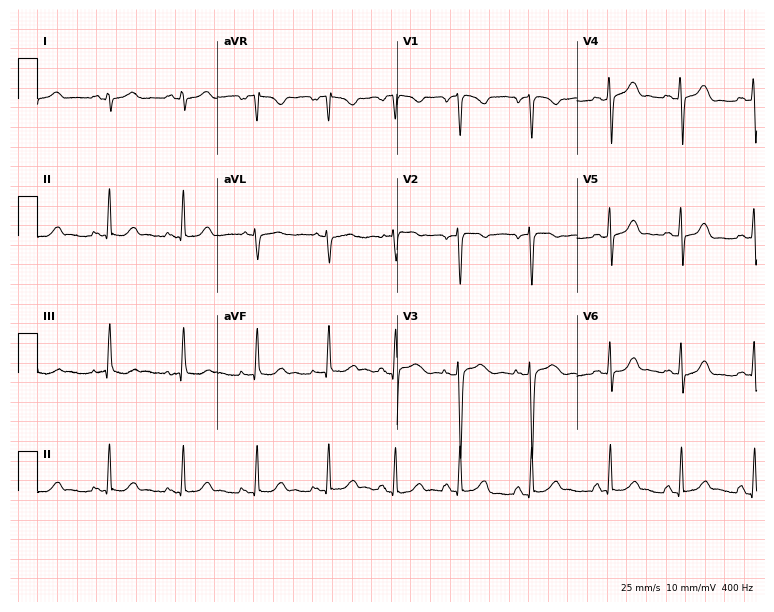
12-lead ECG from a female patient, 26 years old. Recorded interpretation: within normal limits.